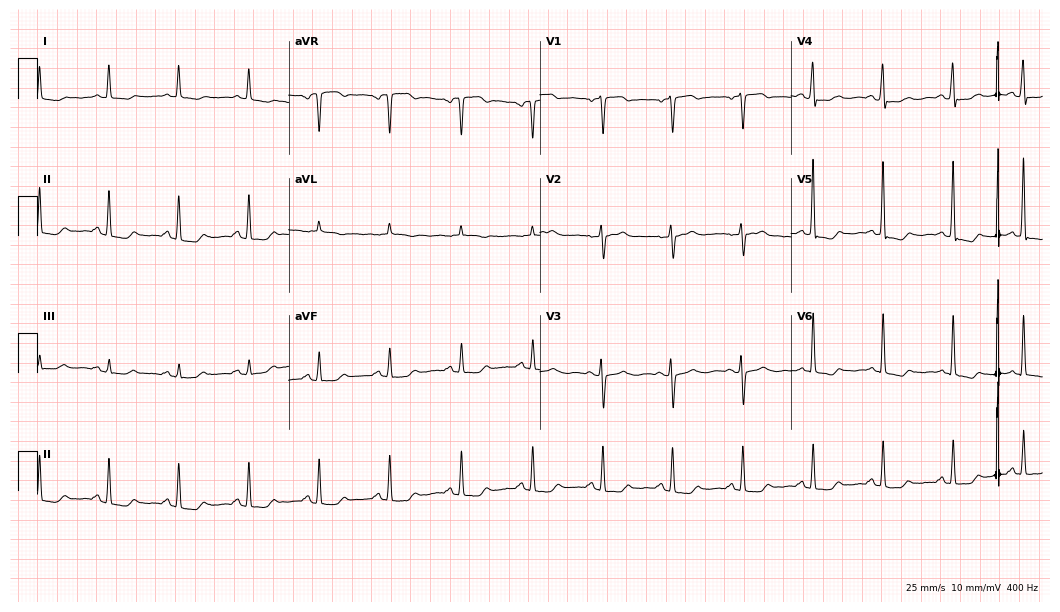
Standard 12-lead ECG recorded from a female, 74 years old (10.2-second recording at 400 Hz). None of these six findings is recorded: first-degree AV block, right bundle branch block, left bundle branch block, sinus bradycardia, atrial fibrillation, sinus tachycardia. Only these six findings were labelled.